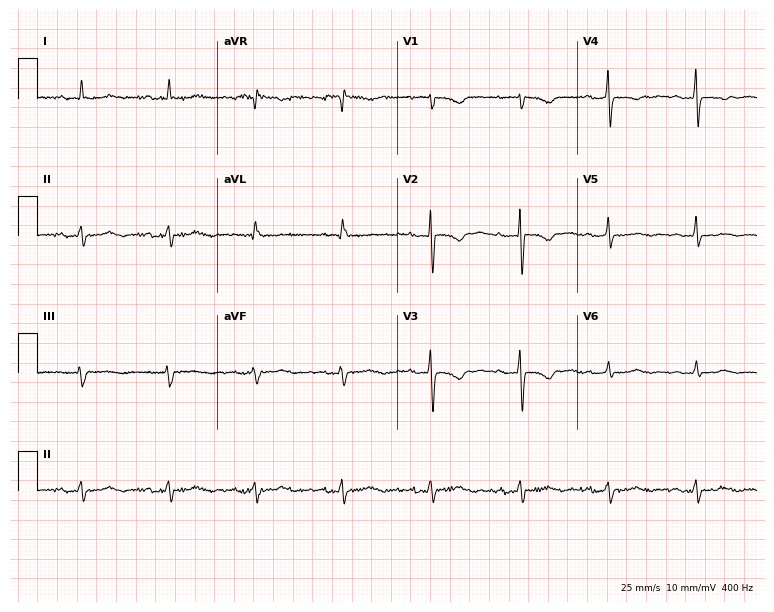
Electrocardiogram, a 35-year-old woman. Interpretation includes first-degree AV block.